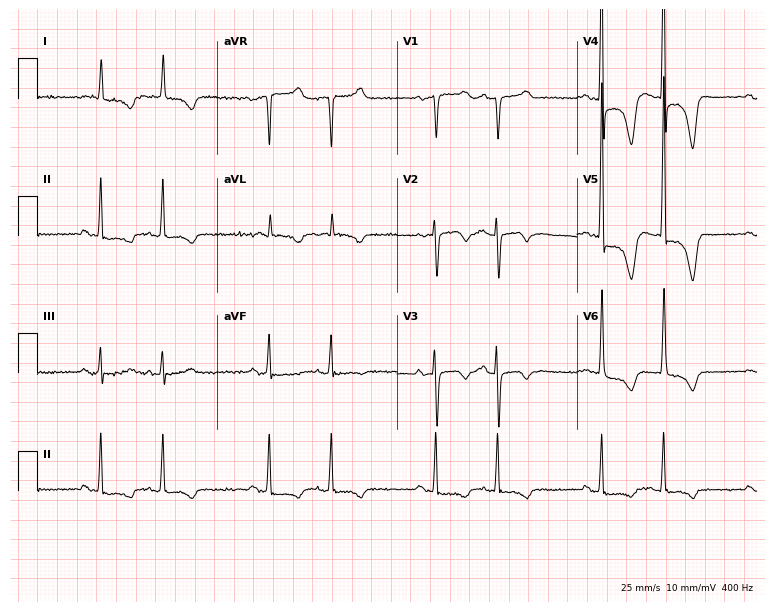
12-lead ECG from a 69-year-old female. No first-degree AV block, right bundle branch block, left bundle branch block, sinus bradycardia, atrial fibrillation or sinus tachycardia recorded for this tracing. Findings outside these six are not listed.